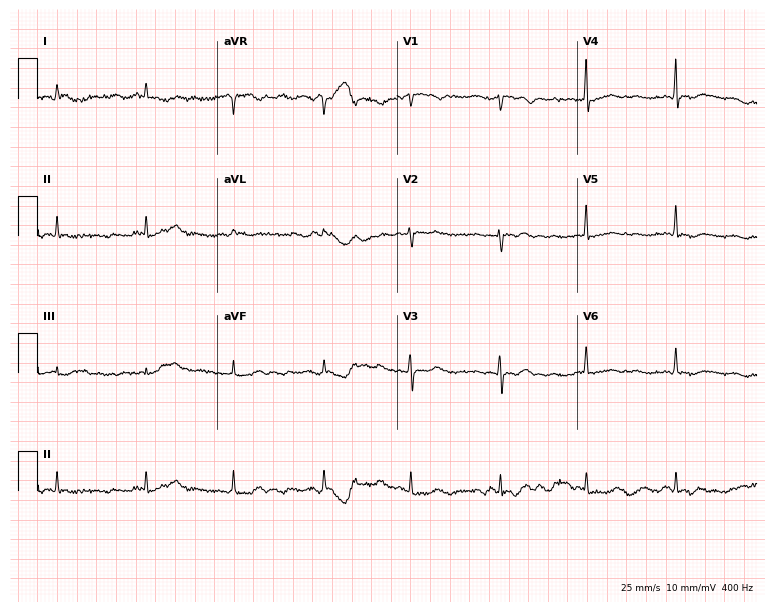
12-lead ECG from a female, 70 years old. No first-degree AV block, right bundle branch block, left bundle branch block, sinus bradycardia, atrial fibrillation or sinus tachycardia recorded for this tracing.